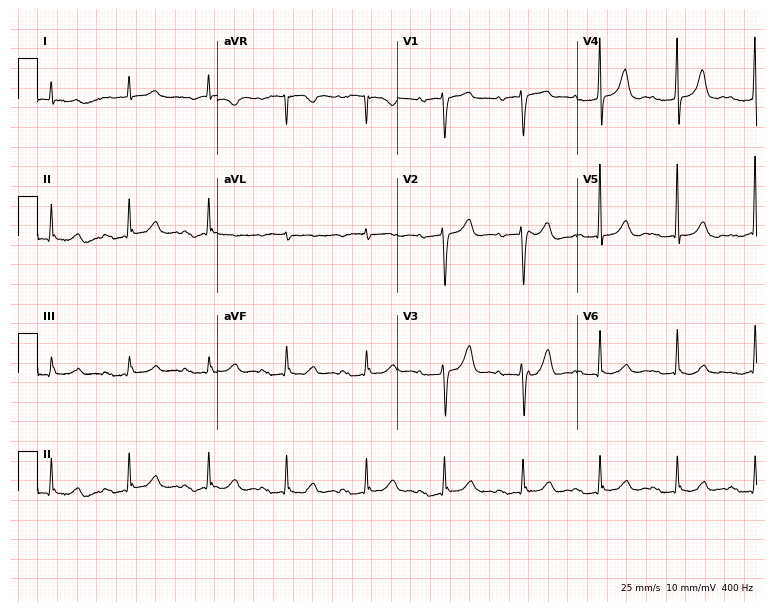
12-lead ECG from a female, 82 years old (7.3-second recording at 400 Hz). Shows first-degree AV block.